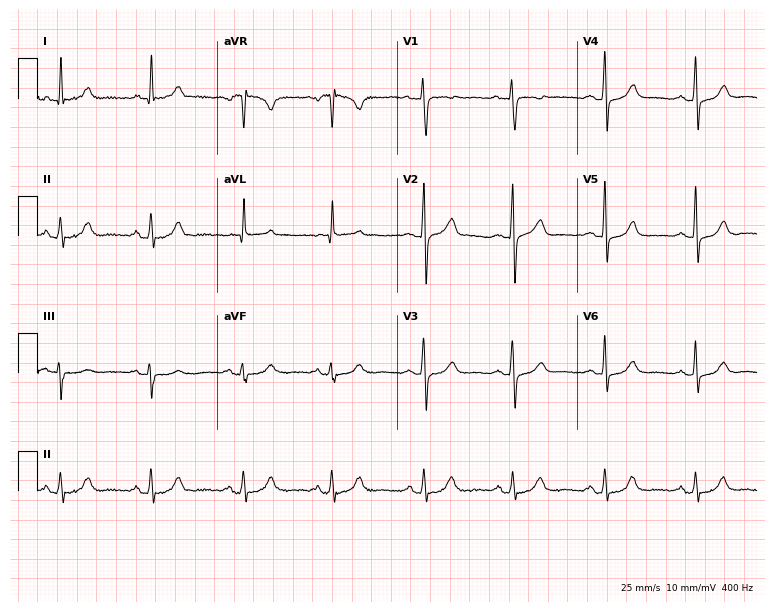
Standard 12-lead ECG recorded from a female patient, 61 years old (7.3-second recording at 400 Hz). Read as a normal ECG.